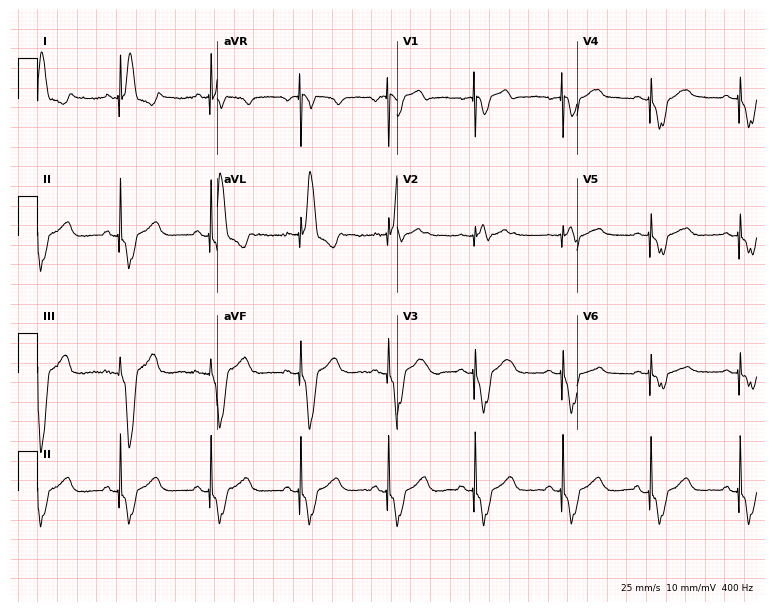
Standard 12-lead ECG recorded from a 72-year-old female. None of these six findings is recorded: first-degree AV block, right bundle branch block, left bundle branch block, sinus bradycardia, atrial fibrillation, sinus tachycardia. Other findings, if any, are not listed.